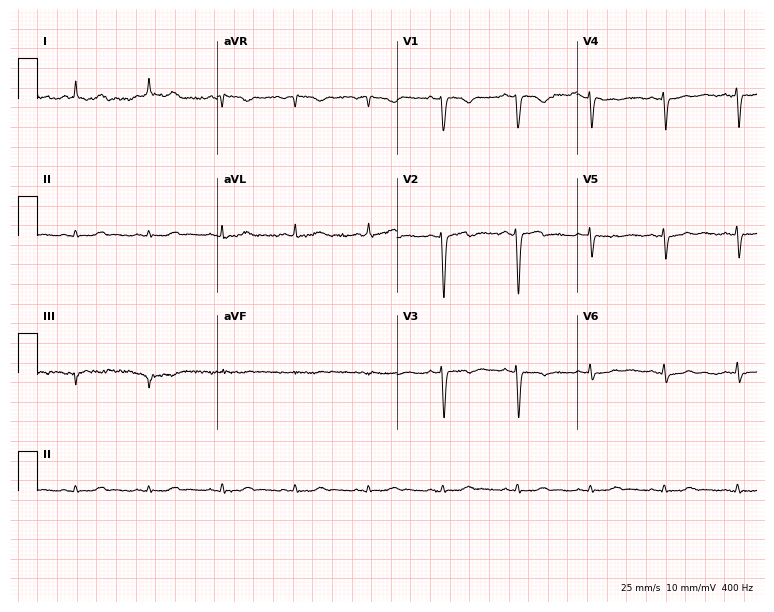
12-lead ECG from a 56-year-old female patient. No first-degree AV block, right bundle branch block, left bundle branch block, sinus bradycardia, atrial fibrillation or sinus tachycardia recorded for this tracing.